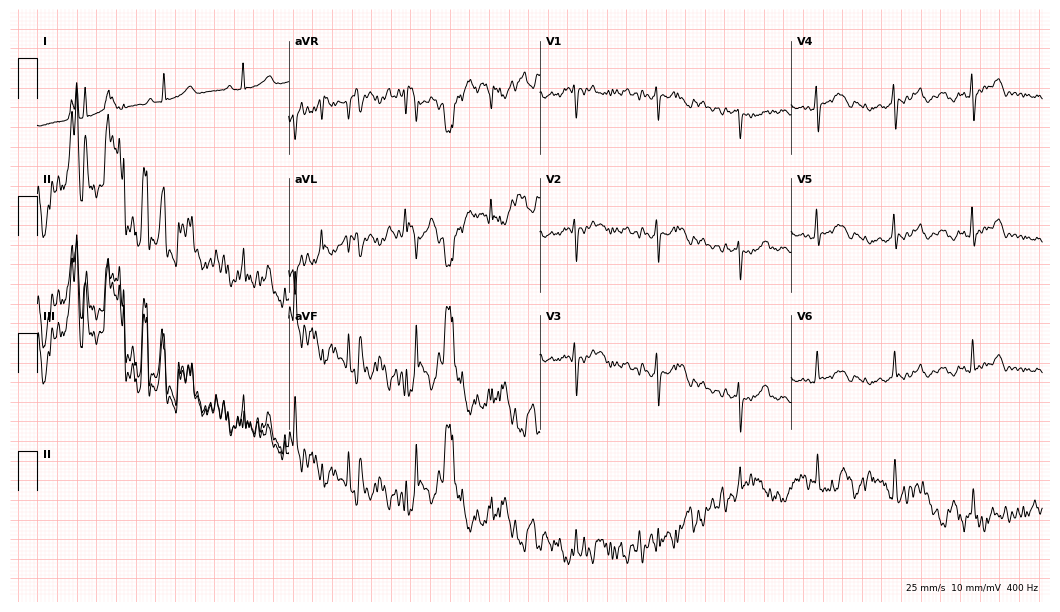
Standard 12-lead ECG recorded from a woman, 38 years old (10.2-second recording at 400 Hz). None of these six findings is recorded: first-degree AV block, right bundle branch block, left bundle branch block, sinus bradycardia, atrial fibrillation, sinus tachycardia. Other findings, if any, are not listed.